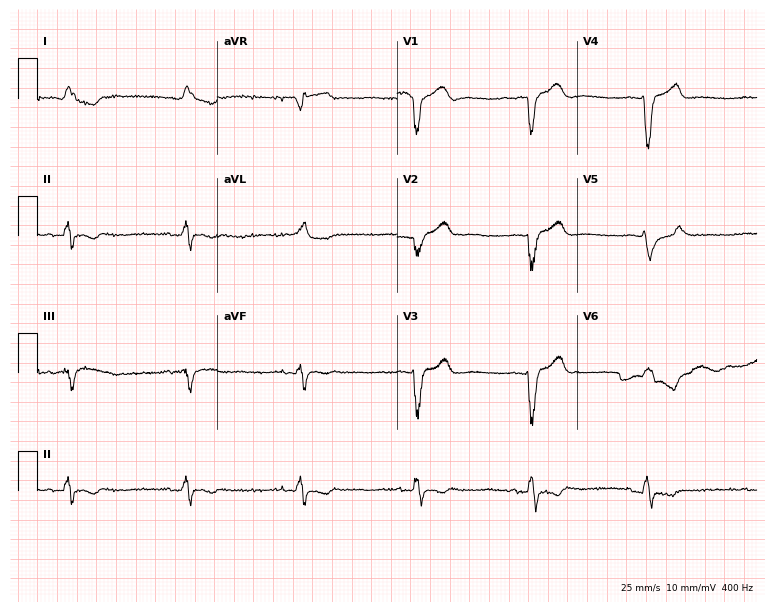
Standard 12-lead ECG recorded from an 83-year-old male patient. The tracing shows left bundle branch block, sinus bradycardia (a sinus rate of 50 beats per minute or less).